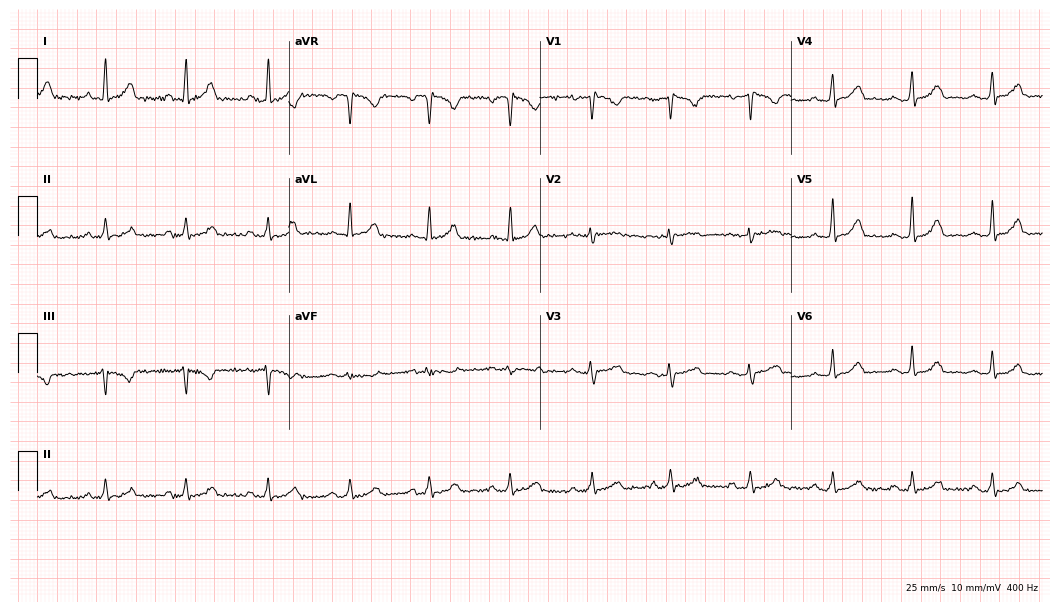
Resting 12-lead electrocardiogram (10.2-second recording at 400 Hz). Patient: a 37-year-old female. None of these six findings is recorded: first-degree AV block, right bundle branch block (RBBB), left bundle branch block (LBBB), sinus bradycardia, atrial fibrillation (AF), sinus tachycardia. Findings outside these six are not listed.